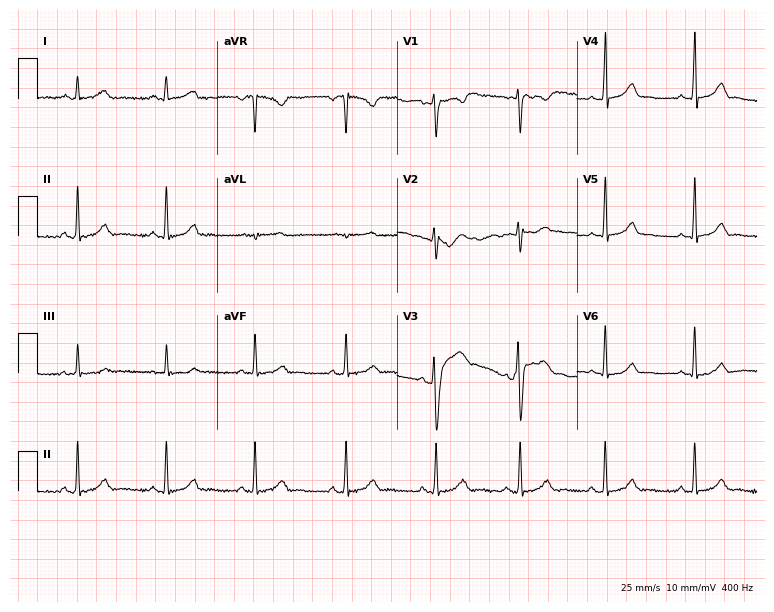
Resting 12-lead electrocardiogram (7.3-second recording at 400 Hz). Patient: a woman, 27 years old. Read as a normal ECG.